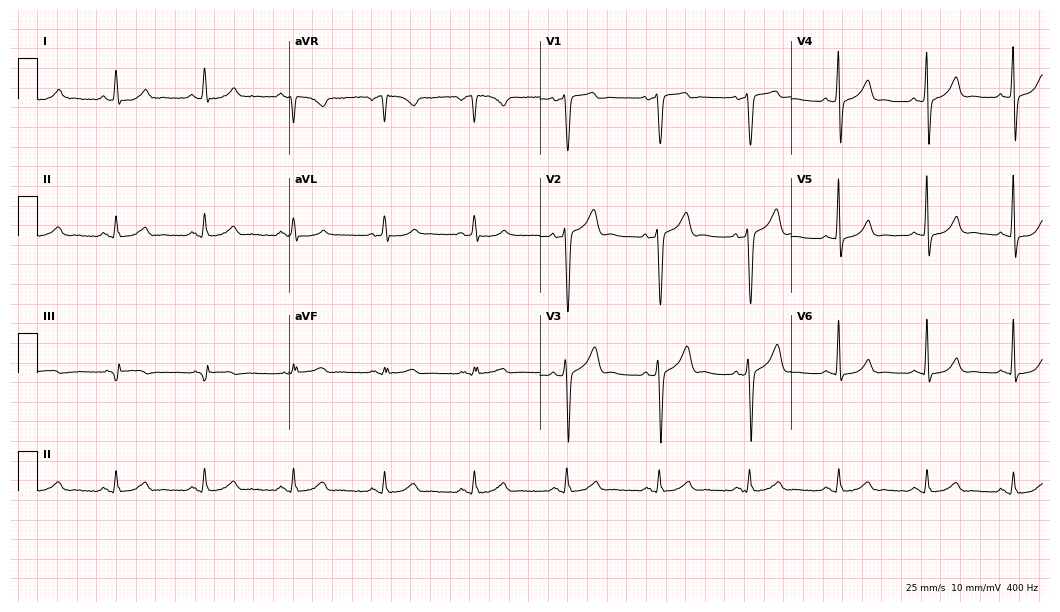
12-lead ECG from a female, 66 years old. Recorded interpretation: within normal limits.